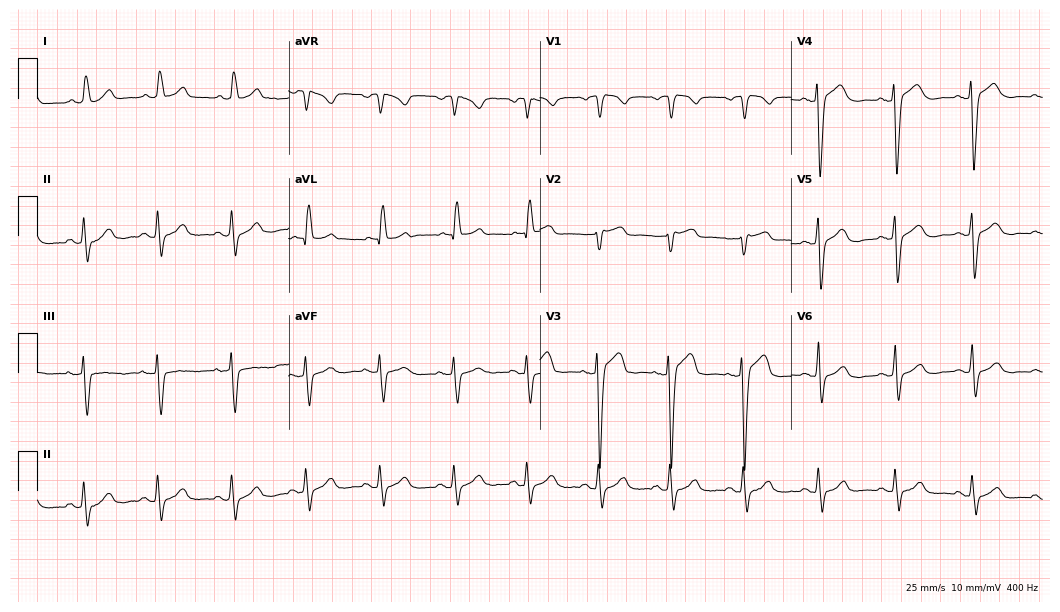
12-lead ECG from a 72-year-old woman (10.2-second recording at 400 Hz). No first-degree AV block, right bundle branch block, left bundle branch block, sinus bradycardia, atrial fibrillation or sinus tachycardia recorded for this tracing.